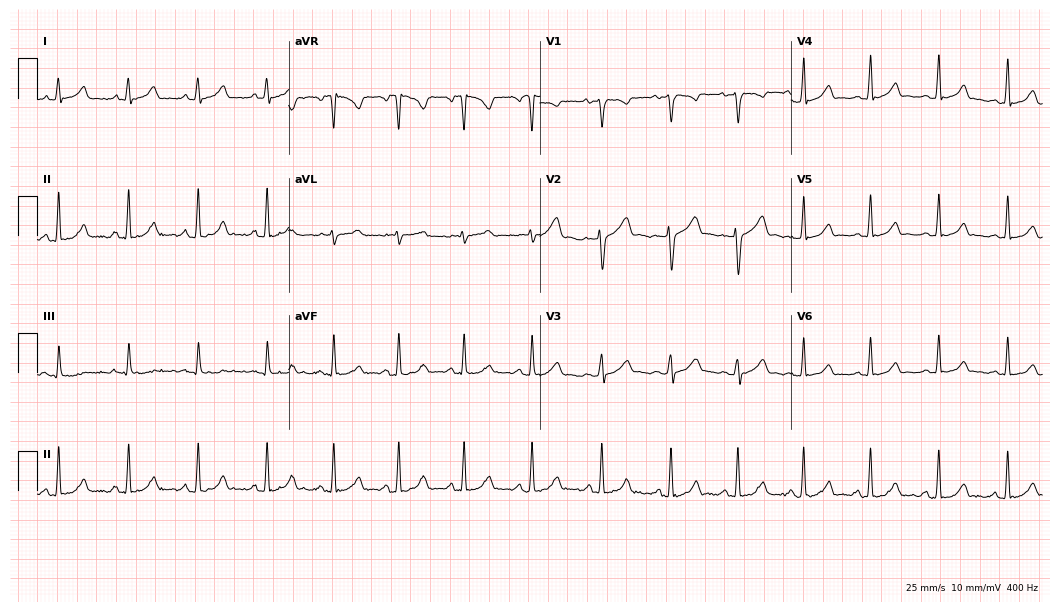
Standard 12-lead ECG recorded from a 19-year-old woman (10.2-second recording at 400 Hz). Read as a normal ECG.